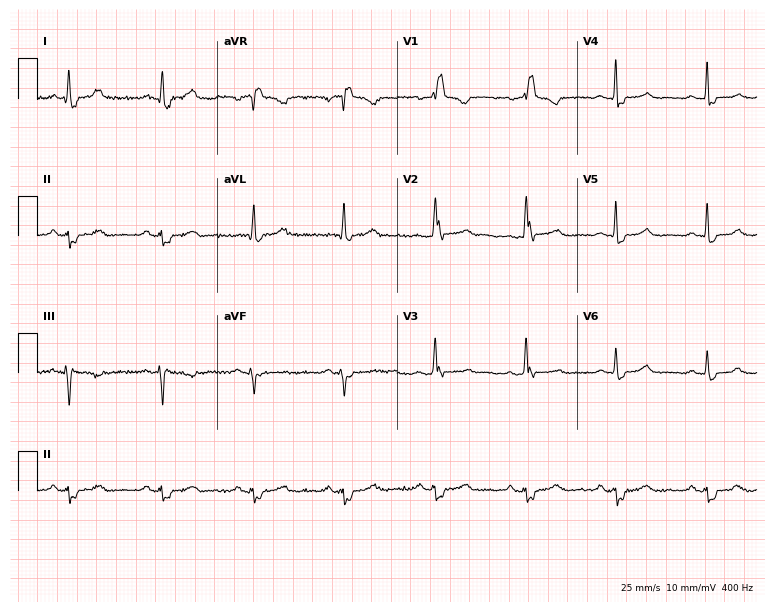
12-lead ECG from a 62-year-old female. Shows right bundle branch block.